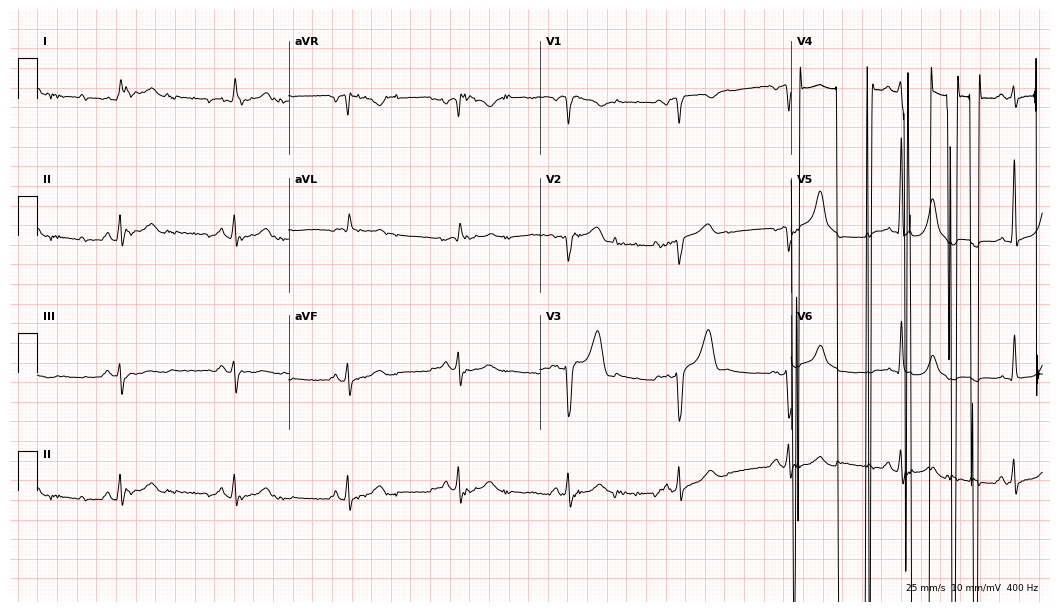
Resting 12-lead electrocardiogram. Patient: a man, 59 years old. None of these six findings is recorded: first-degree AV block, right bundle branch block, left bundle branch block, sinus bradycardia, atrial fibrillation, sinus tachycardia. Other findings, if any, are not listed.